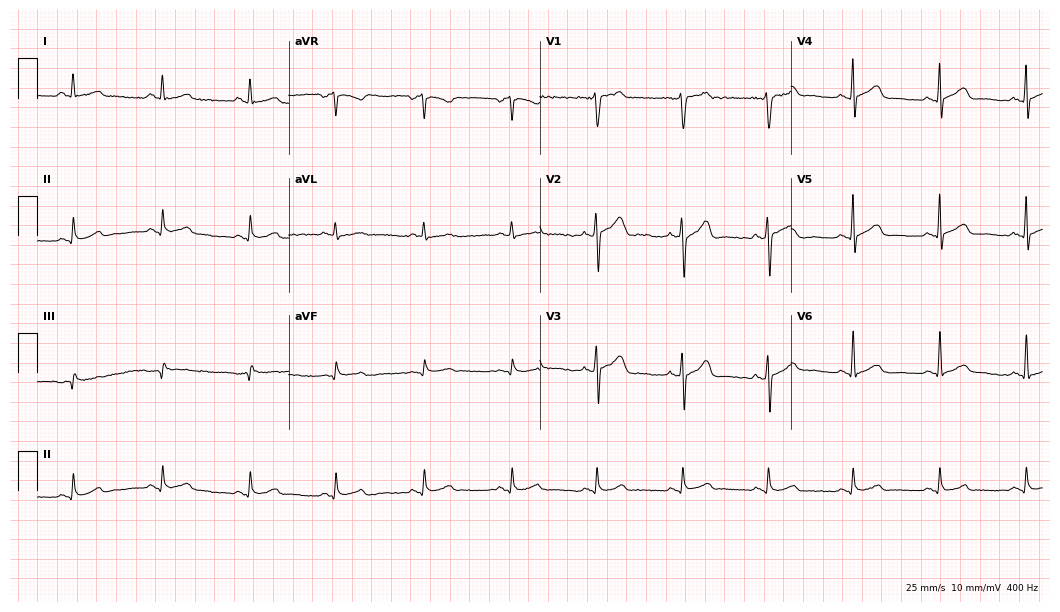
Standard 12-lead ECG recorded from a 54-year-old male patient. Read as a normal ECG.